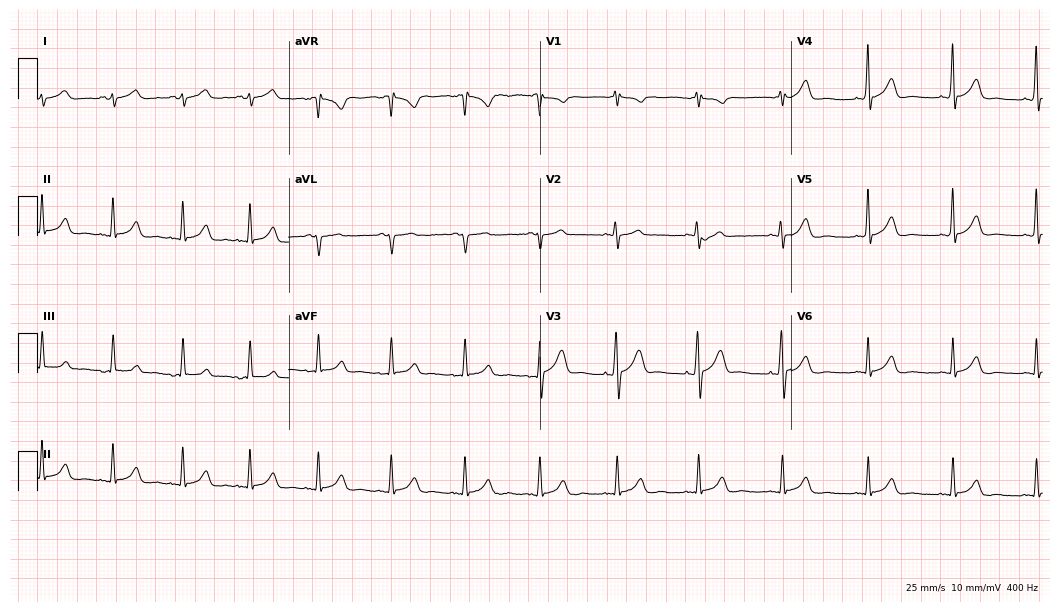
12-lead ECG from a 26-year-old female (10.2-second recording at 400 Hz). Recorded interpretation: within normal limits.